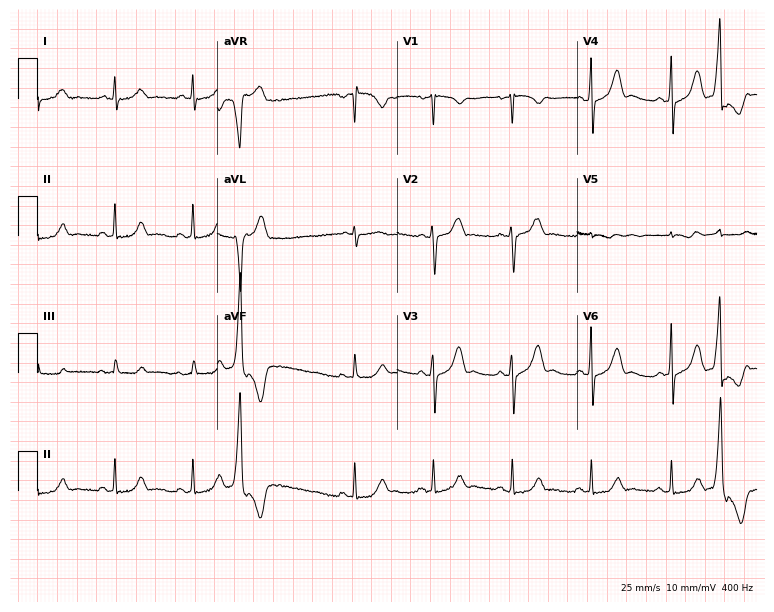
12-lead ECG (7.3-second recording at 400 Hz) from a woman, 55 years old. Screened for six findings — first-degree AV block, right bundle branch block, left bundle branch block, sinus bradycardia, atrial fibrillation, sinus tachycardia — none is recorded.